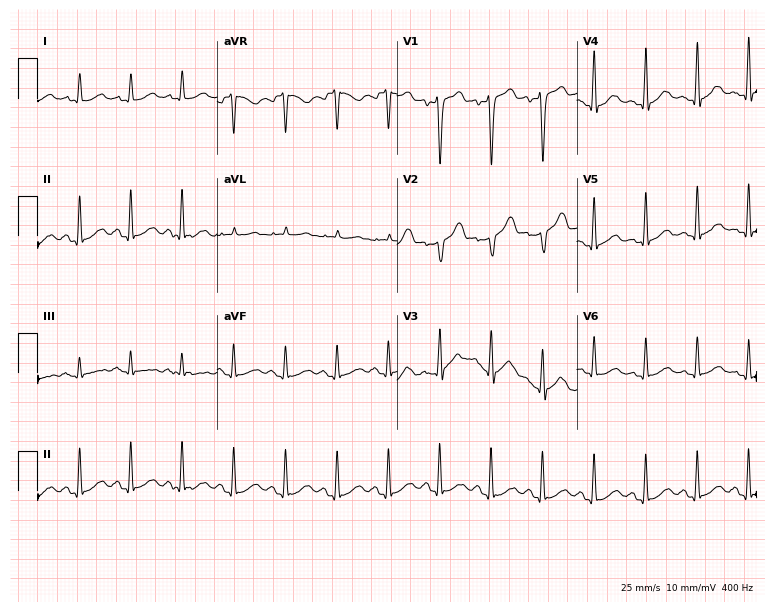
Standard 12-lead ECG recorded from a male patient, 42 years old (7.3-second recording at 400 Hz). The tracing shows sinus tachycardia (a sinus rate of 100 beats per minute or more).